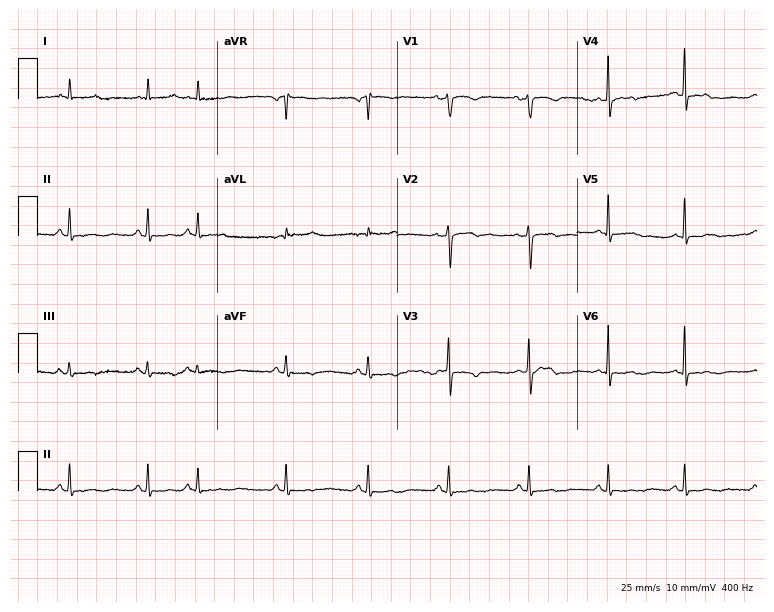
Electrocardiogram, a 75-year-old woman. Of the six screened findings (first-degree AV block, right bundle branch block (RBBB), left bundle branch block (LBBB), sinus bradycardia, atrial fibrillation (AF), sinus tachycardia), none is recorded.